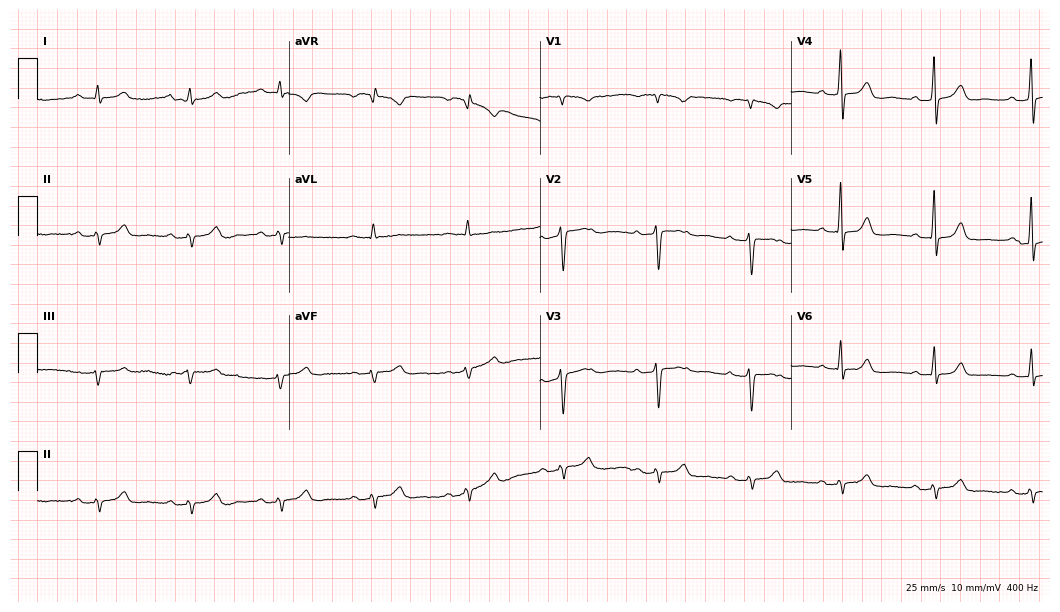
12-lead ECG from a 50-year-old female. Shows first-degree AV block.